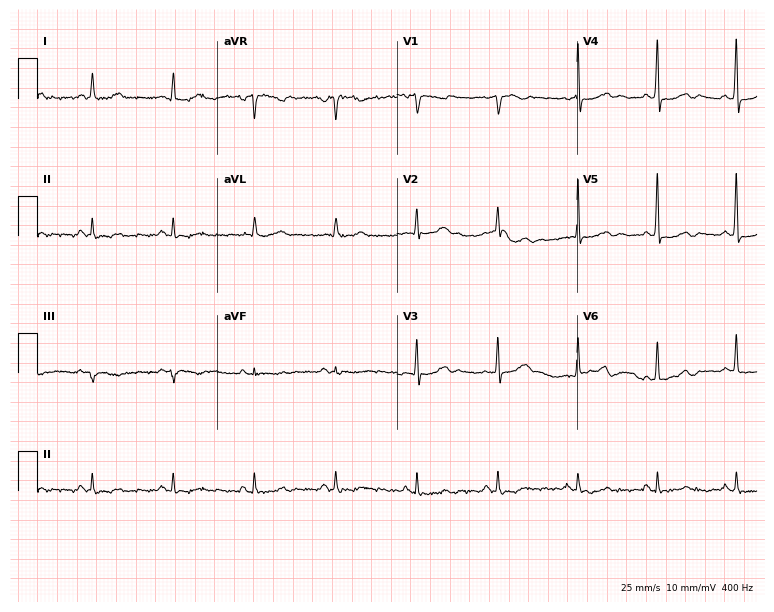
ECG (7.3-second recording at 400 Hz) — a 56-year-old female. Screened for six findings — first-degree AV block, right bundle branch block (RBBB), left bundle branch block (LBBB), sinus bradycardia, atrial fibrillation (AF), sinus tachycardia — none is recorded.